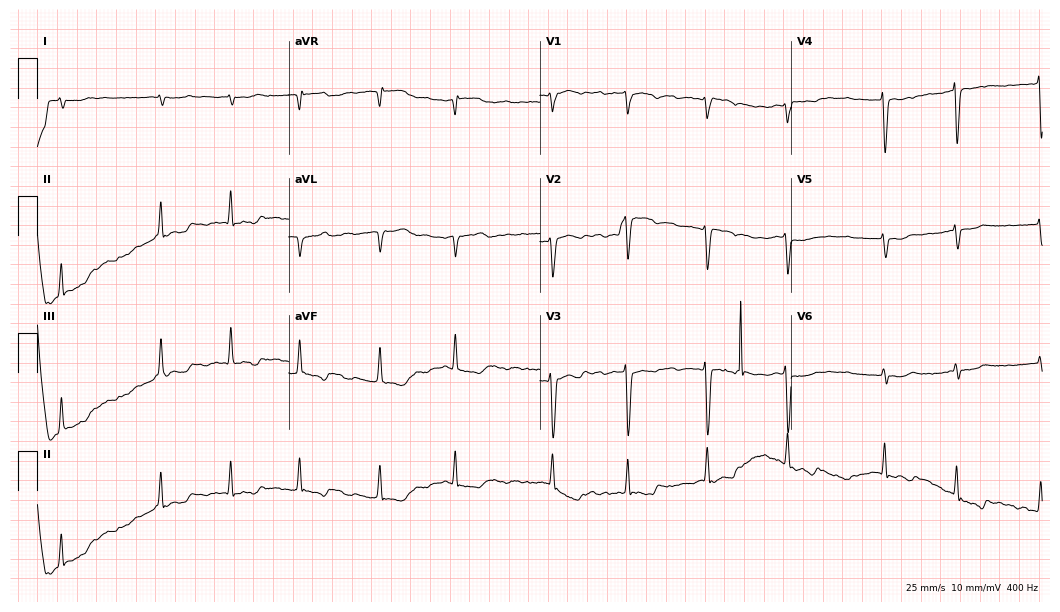
Resting 12-lead electrocardiogram. Patient: an 83-year-old male. None of these six findings is recorded: first-degree AV block, right bundle branch block (RBBB), left bundle branch block (LBBB), sinus bradycardia, atrial fibrillation (AF), sinus tachycardia.